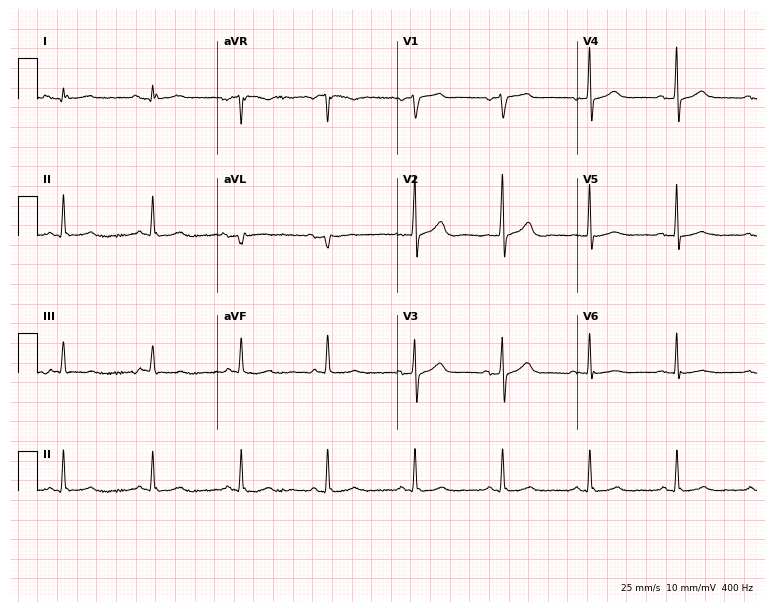
12-lead ECG from a male, 76 years old (7.3-second recording at 400 Hz). No first-degree AV block, right bundle branch block, left bundle branch block, sinus bradycardia, atrial fibrillation or sinus tachycardia recorded for this tracing. Findings outside these six are not listed.